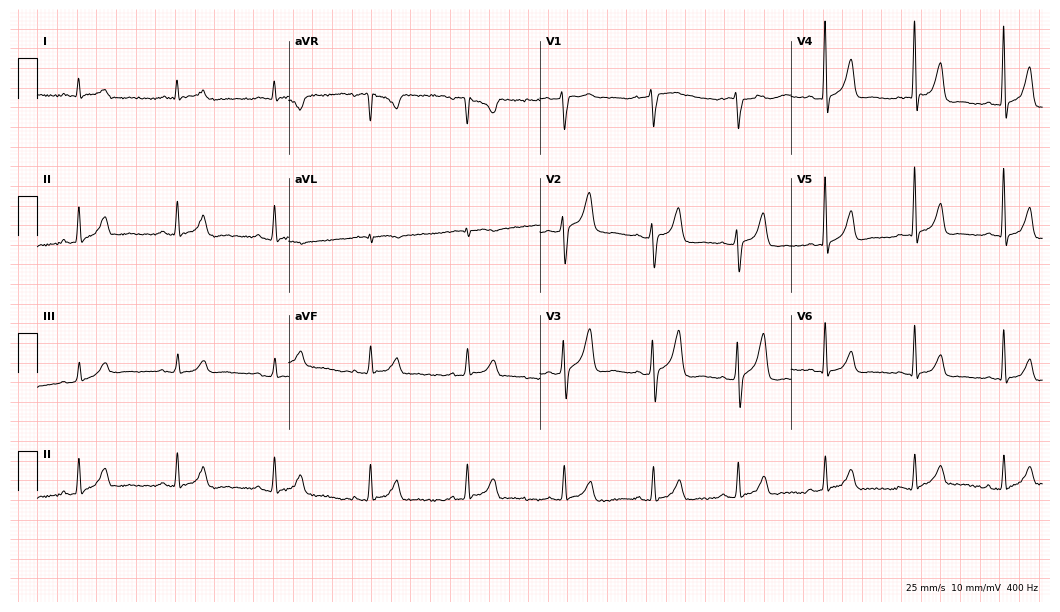
12-lead ECG from a male patient, 51 years old. Recorded interpretation: within normal limits.